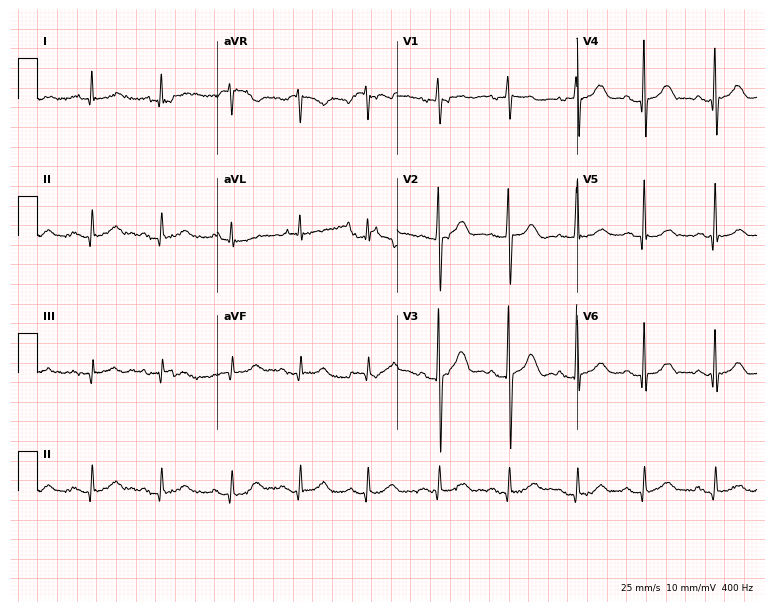
Standard 12-lead ECG recorded from a 75-year-old male patient. None of these six findings is recorded: first-degree AV block, right bundle branch block, left bundle branch block, sinus bradycardia, atrial fibrillation, sinus tachycardia. Only these six findings were labelled.